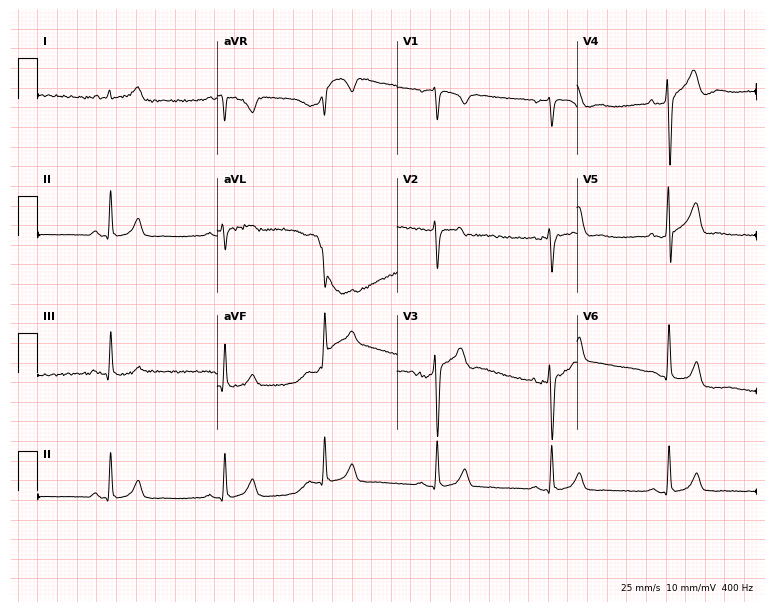
12-lead ECG from a male patient, 28 years old. Screened for six findings — first-degree AV block, right bundle branch block, left bundle branch block, sinus bradycardia, atrial fibrillation, sinus tachycardia — none is recorded. Findings outside these six are not listed.